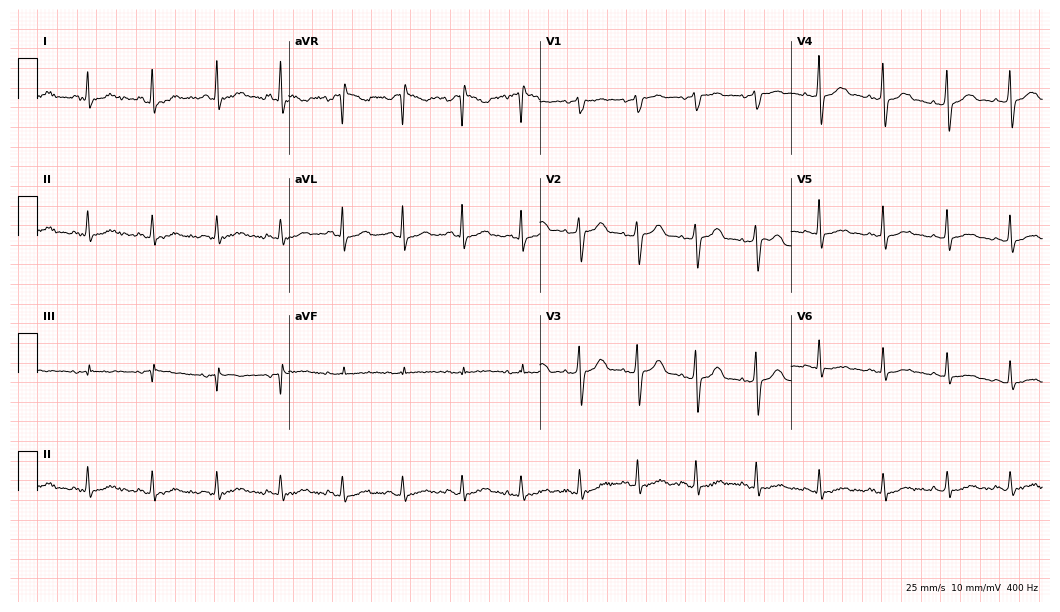
12-lead ECG from a 59-year-old female patient (10.2-second recording at 400 Hz). Recorded interpretation: within normal limits.